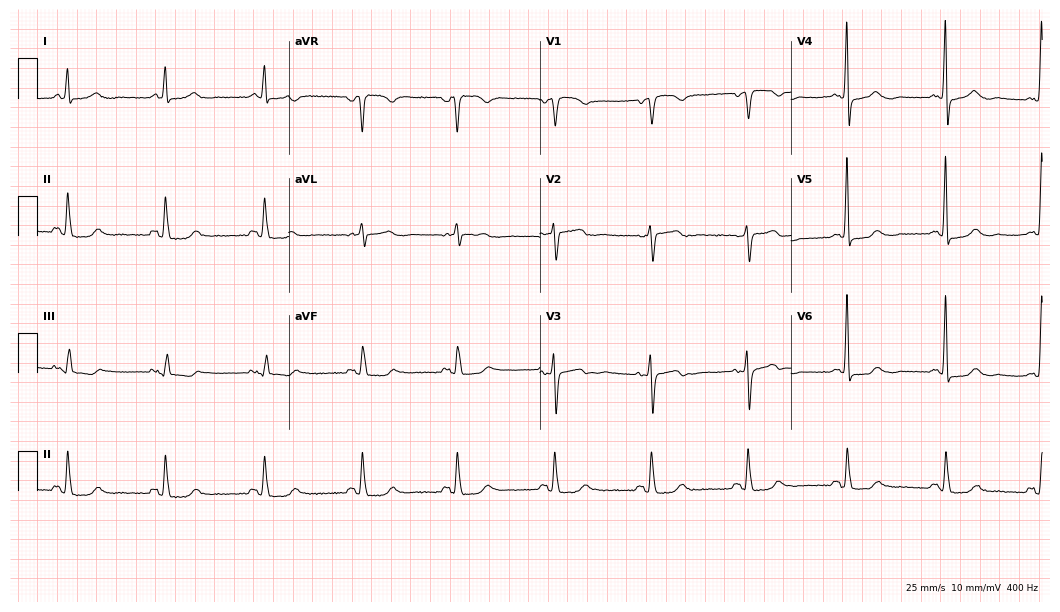
Standard 12-lead ECG recorded from a female patient, 69 years old (10.2-second recording at 400 Hz). None of these six findings is recorded: first-degree AV block, right bundle branch block, left bundle branch block, sinus bradycardia, atrial fibrillation, sinus tachycardia. Other findings, if any, are not listed.